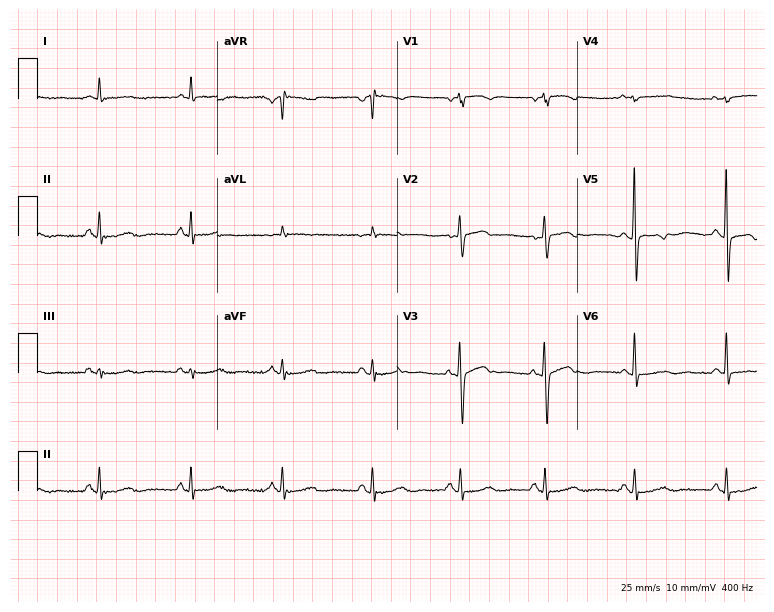
12-lead ECG from a female, 70 years old. Screened for six findings — first-degree AV block, right bundle branch block (RBBB), left bundle branch block (LBBB), sinus bradycardia, atrial fibrillation (AF), sinus tachycardia — none is recorded.